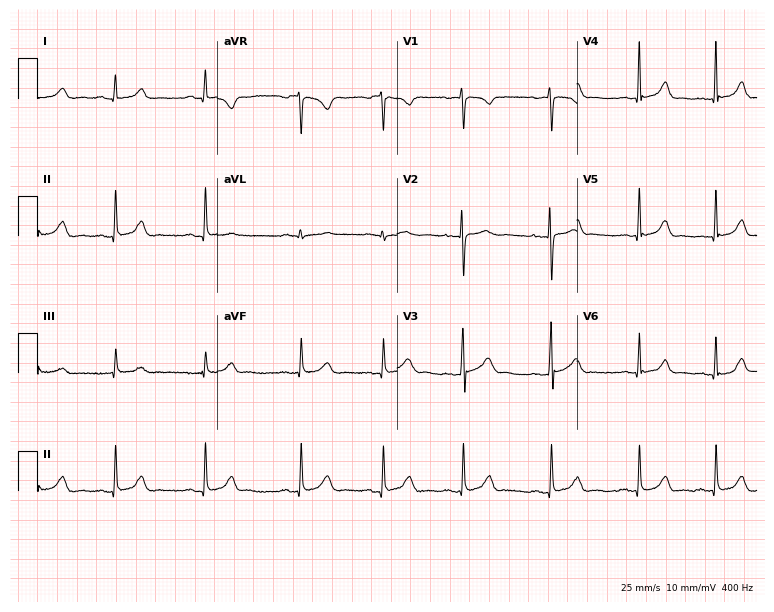
12-lead ECG (7.3-second recording at 400 Hz) from a 20-year-old female. Screened for six findings — first-degree AV block, right bundle branch block, left bundle branch block, sinus bradycardia, atrial fibrillation, sinus tachycardia — none is recorded.